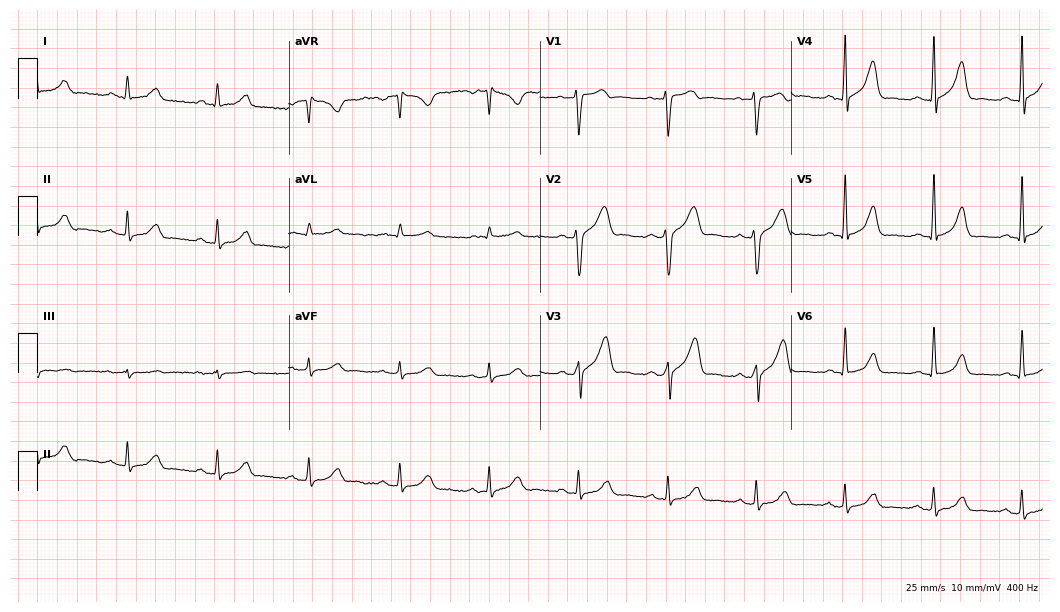
ECG (10.2-second recording at 400 Hz) — a 57-year-old male patient. Labelled as a normal ECG.